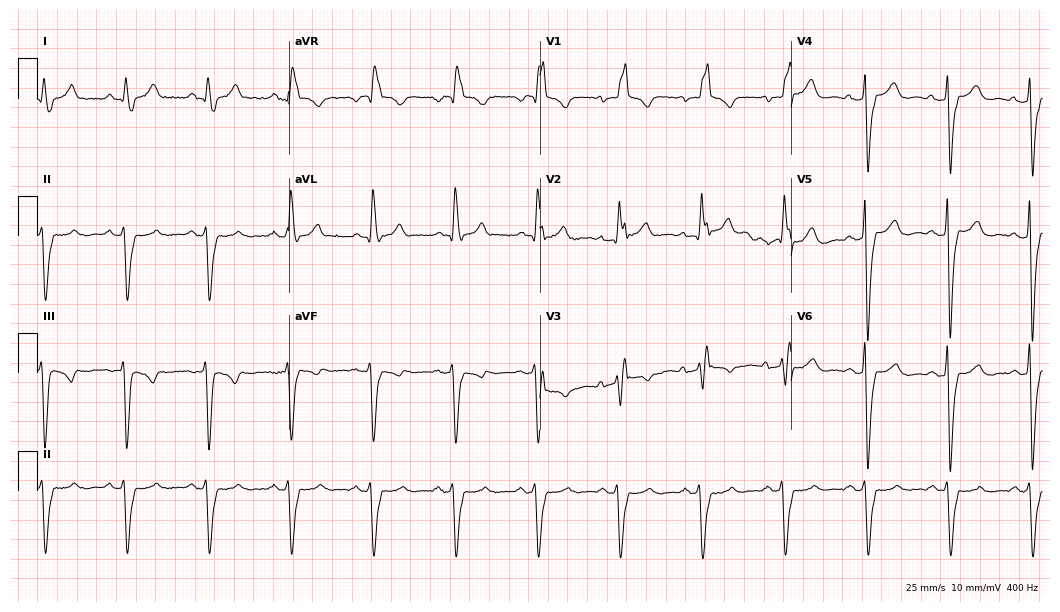
12-lead ECG from a man, 56 years old. Shows right bundle branch block (RBBB).